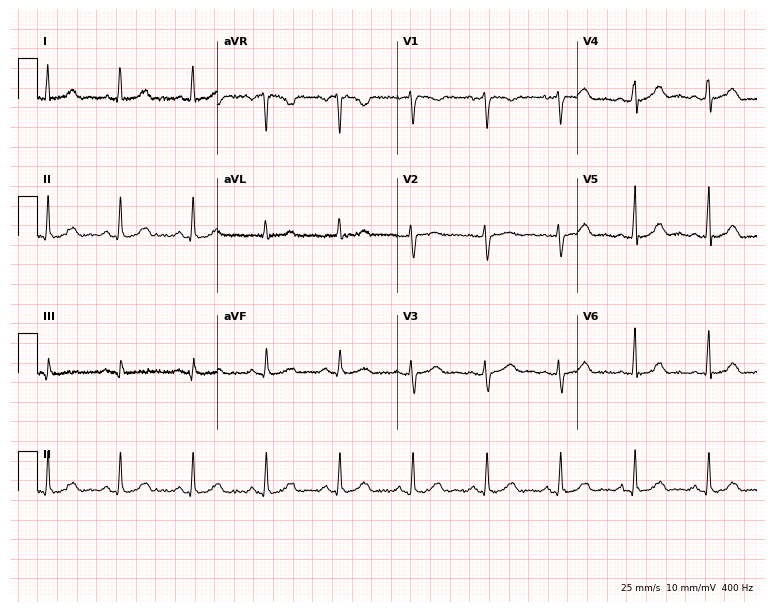
12-lead ECG from a 45-year-old female patient (7.3-second recording at 400 Hz). Recorded interpretation: within normal limits.